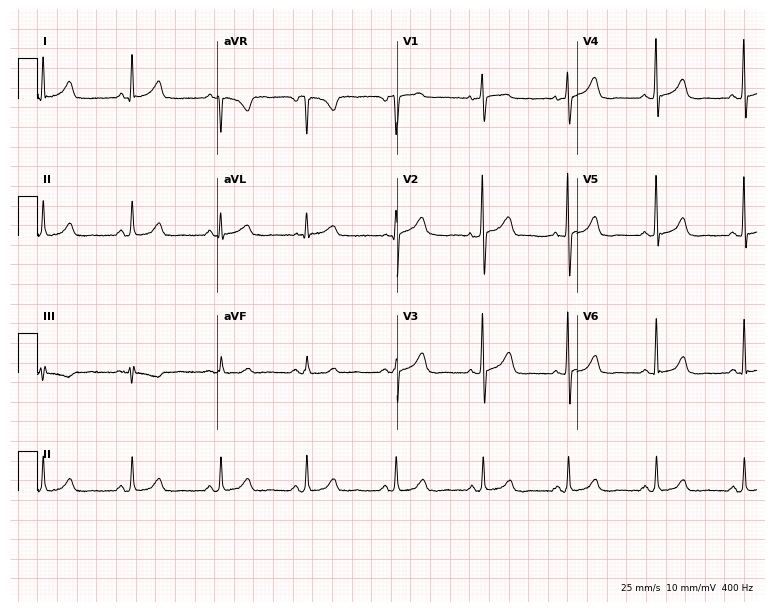
Resting 12-lead electrocardiogram. Patient: a 52-year-old female. None of these six findings is recorded: first-degree AV block, right bundle branch block, left bundle branch block, sinus bradycardia, atrial fibrillation, sinus tachycardia. Other findings, if any, are not listed.